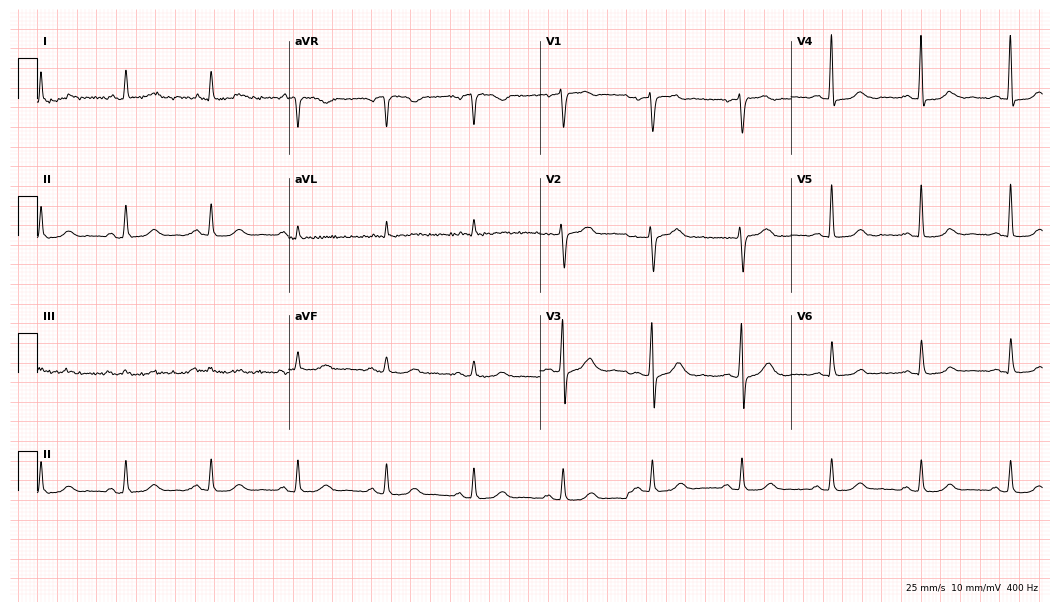
Standard 12-lead ECG recorded from a 53-year-old man. None of these six findings is recorded: first-degree AV block, right bundle branch block, left bundle branch block, sinus bradycardia, atrial fibrillation, sinus tachycardia. Only these six findings were labelled.